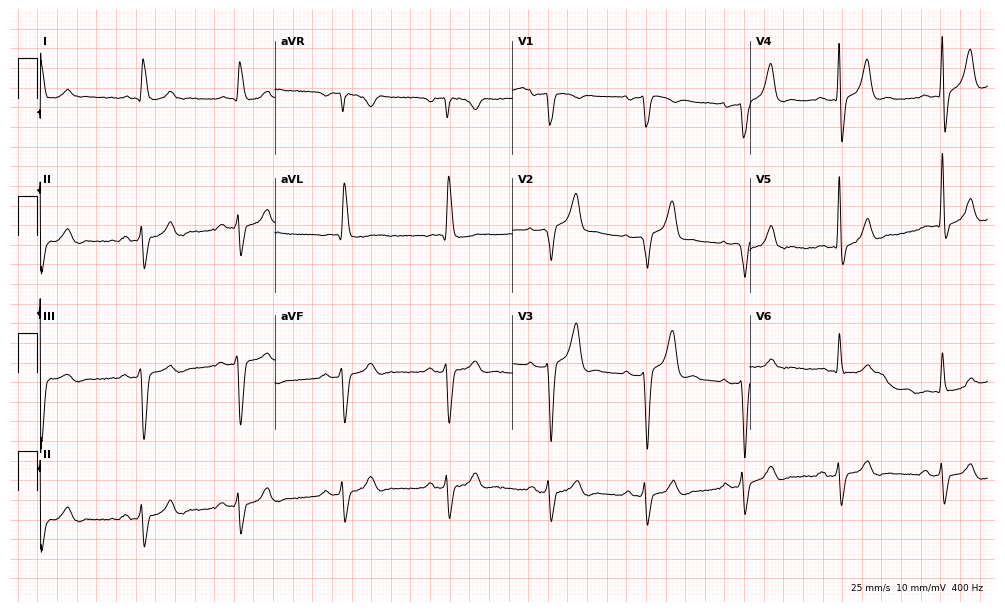
12-lead ECG from a 64-year-old male patient. Findings include left bundle branch block.